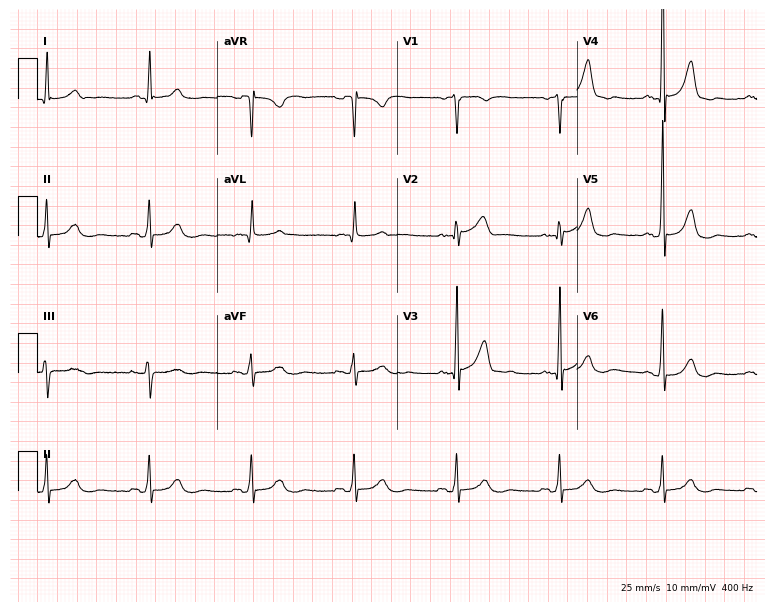
Resting 12-lead electrocardiogram (7.3-second recording at 400 Hz). Patient: a 60-year-old male. None of these six findings is recorded: first-degree AV block, right bundle branch block, left bundle branch block, sinus bradycardia, atrial fibrillation, sinus tachycardia. Other findings, if any, are not listed.